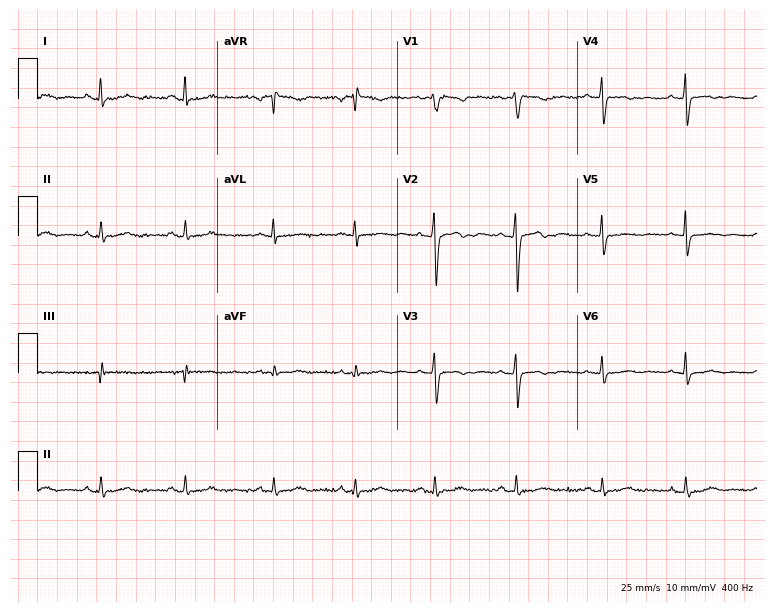
Electrocardiogram (7.3-second recording at 400 Hz), a female, 35 years old. Of the six screened findings (first-degree AV block, right bundle branch block, left bundle branch block, sinus bradycardia, atrial fibrillation, sinus tachycardia), none is recorded. Only these six findings were labelled.